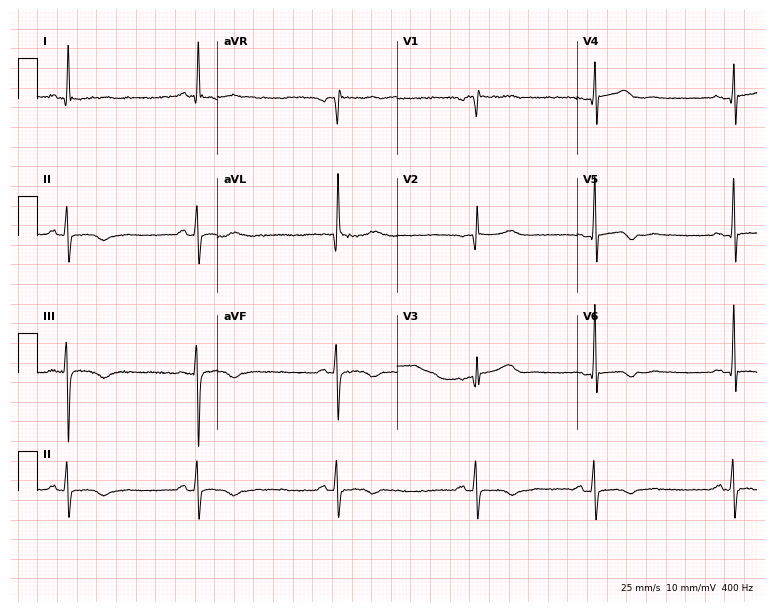
ECG — a woman, 67 years old. Screened for six findings — first-degree AV block, right bundle branch block (RBBB), left bundle branch block (LBBB), sinus bradycardia, atrial fibrillation (AF), sinus tachycardia — none is recorded. Other findings, if any, are not listed.